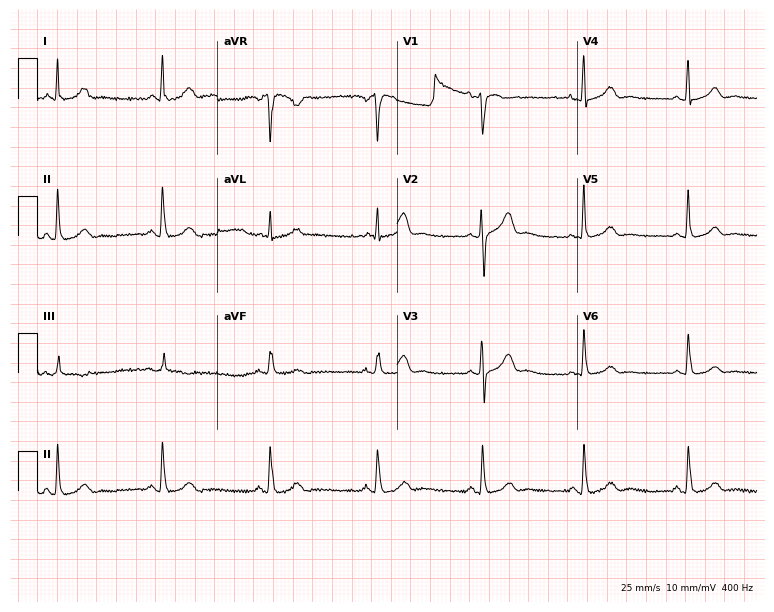
Electrocardiogram (7.3-second recording at 400 Hz), a 40-year-old woman. Of the six screened findings (first-degree AV block, right bundle branch block (RBBB), left bundle branch block (LBBB), sinus bradycardia, atrial fibrillation (AF), sinus tachycardia), none is recorded. Other findings, if any, are not listed.